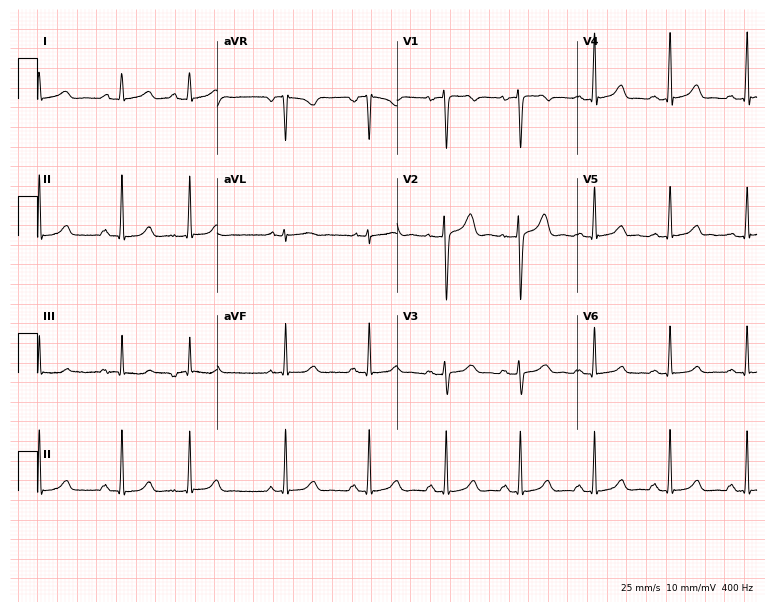
ECG — a female, 33 years old. Screened for six findings — first-degree AV block, right bundle branch block, left bundle branch block, sinus bradycardia, atrial fibrillation, sinus tachycardia — none is recorded.